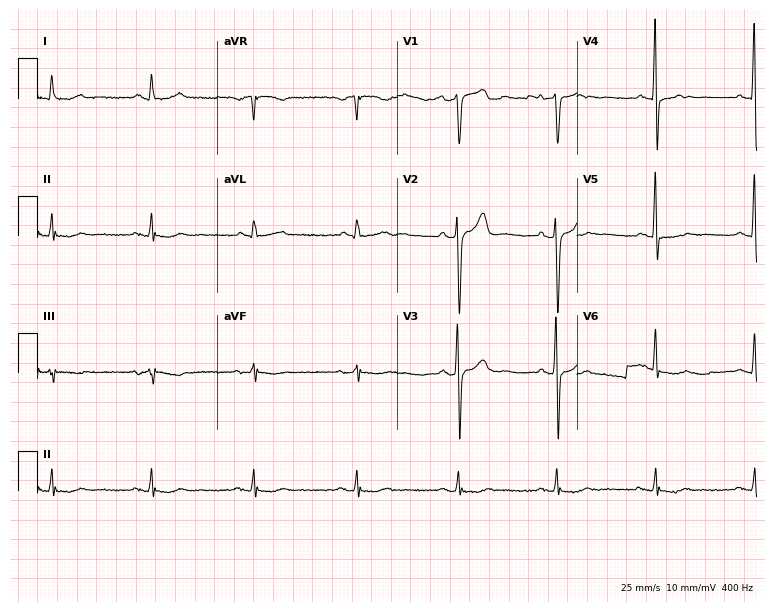
Electrocardiogram, a man, 76 years old. Overall reading on record: normal ECG.